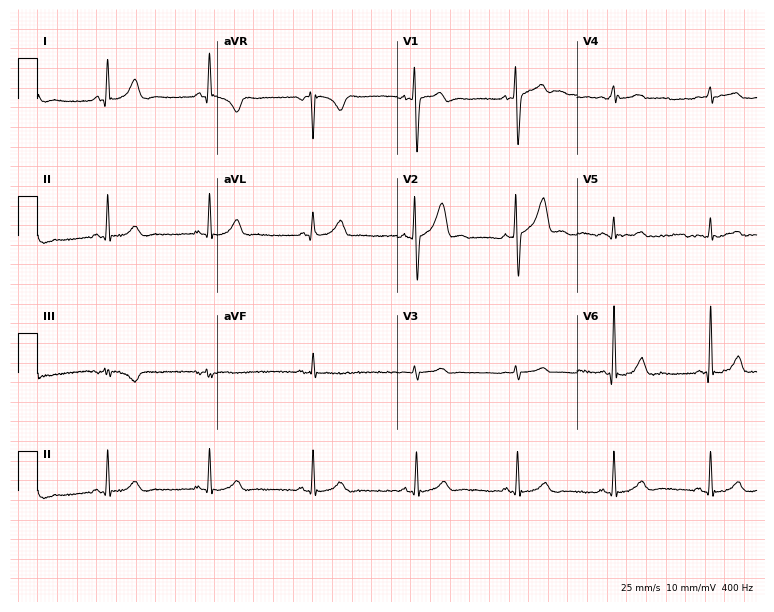
Standard 12-lead ECG recorded from a 30-year-old man (7.3-second recording at 400 Hz). Read as a normal ECG.